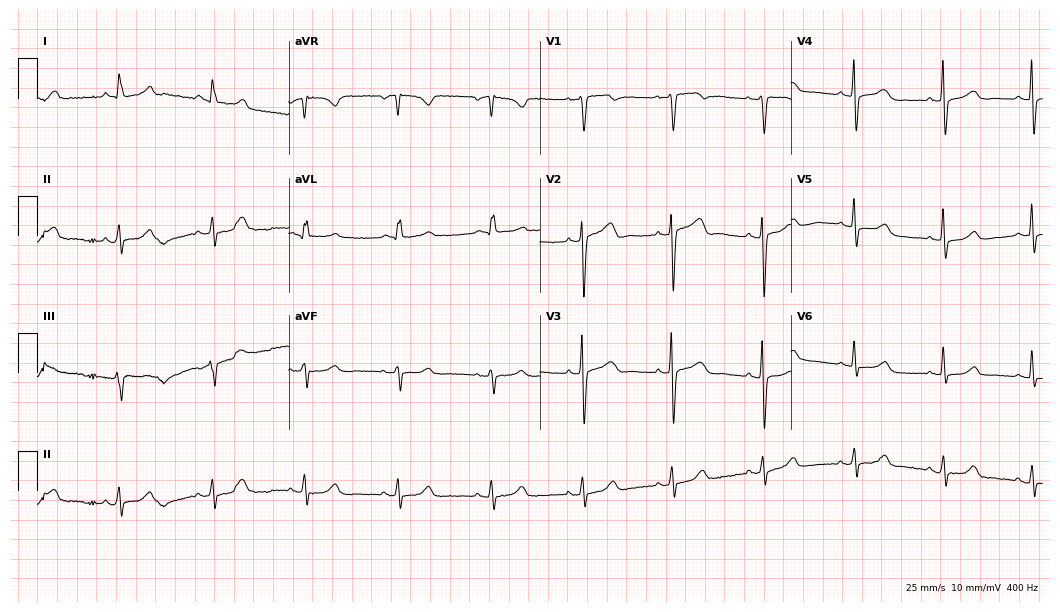
Electrocardiogram (10.2-second recording at 400 Hz), a woman, 51 years old. Of the six screened findings (first-degree AV block, right bundle branch block, left bundle branch block, sinus bradycardia, atrial fibrillation, sinus tachycardia), none is recorded. Findings outside these six are not listed.